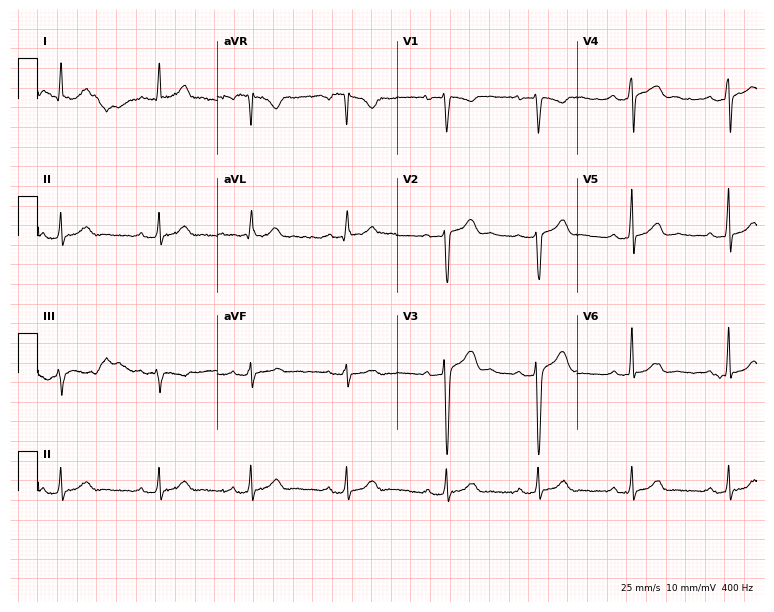
Standard 12-lead ECG recorded from a man, 25 years old (7.3-second recording at 400 Hz). Read as a normal ECG.